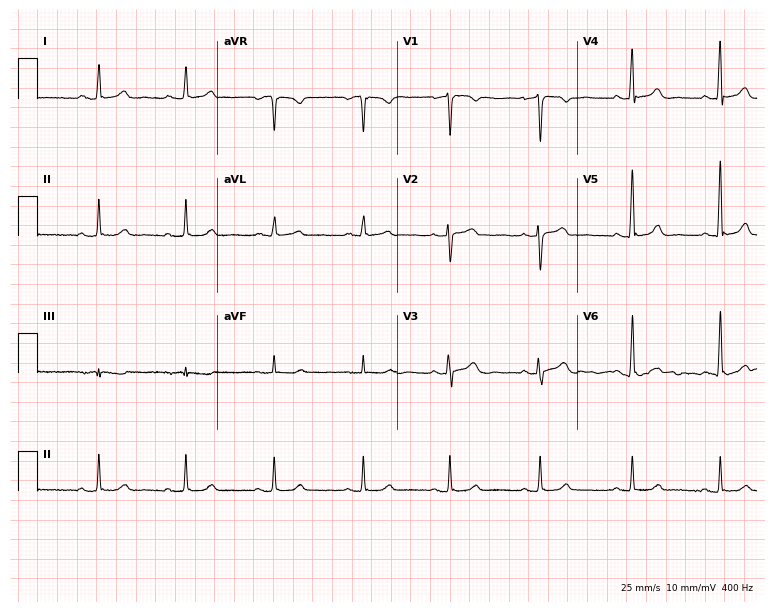
Electrocardiogram (7.3-second recording at 400 Hz), a woman, 64 years old. Overall reading on record: normal ECG.